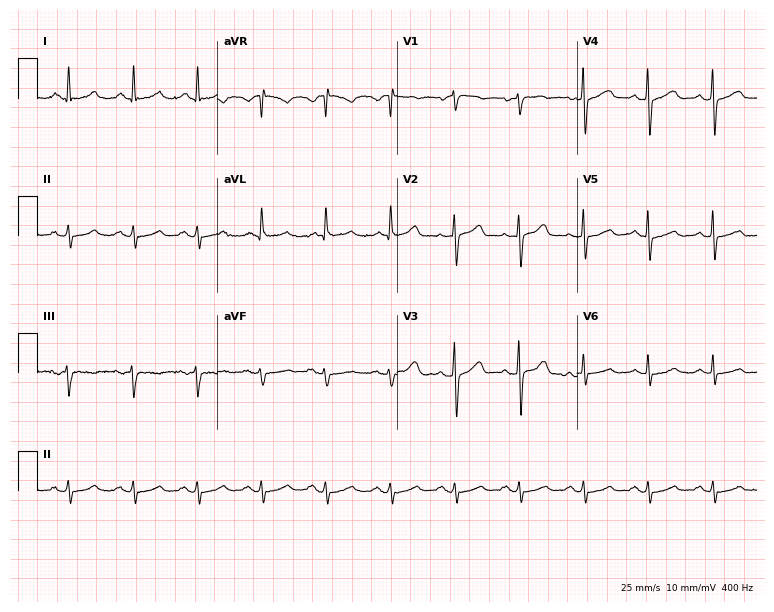
ECG — a man, 59 years old. Screened for six findings — first-degree AV block, right bundle branch block (RBBB), left bundle branch block (LBBB), sinus bradycardia, atrial fibrillation (AF), sinus tachycardia — none is recorded. Other findings, if any, are not listed.